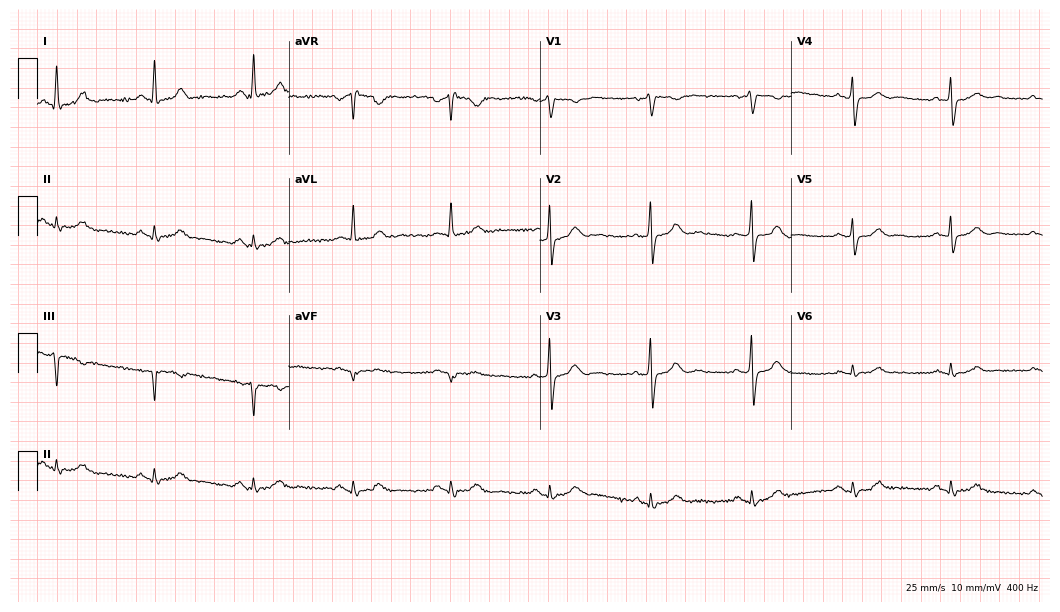
Electrocardiogram (10.2-second recording at 400 Hz), a woman, 57 years old. Of the six screened findings (first-degree AV block, right bundle branch block, left bundle branch block, sinus bradycardia, atrial fibrillation, sinus tachycardia), none is recorded. Only these six findings were labelled.